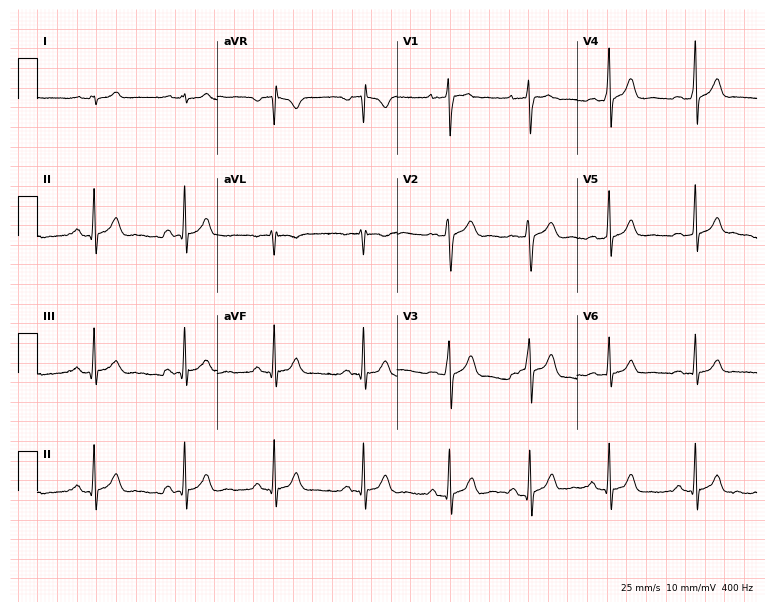
12-lead ECG from a man, 21 years old. Labelled as a normal ECG.